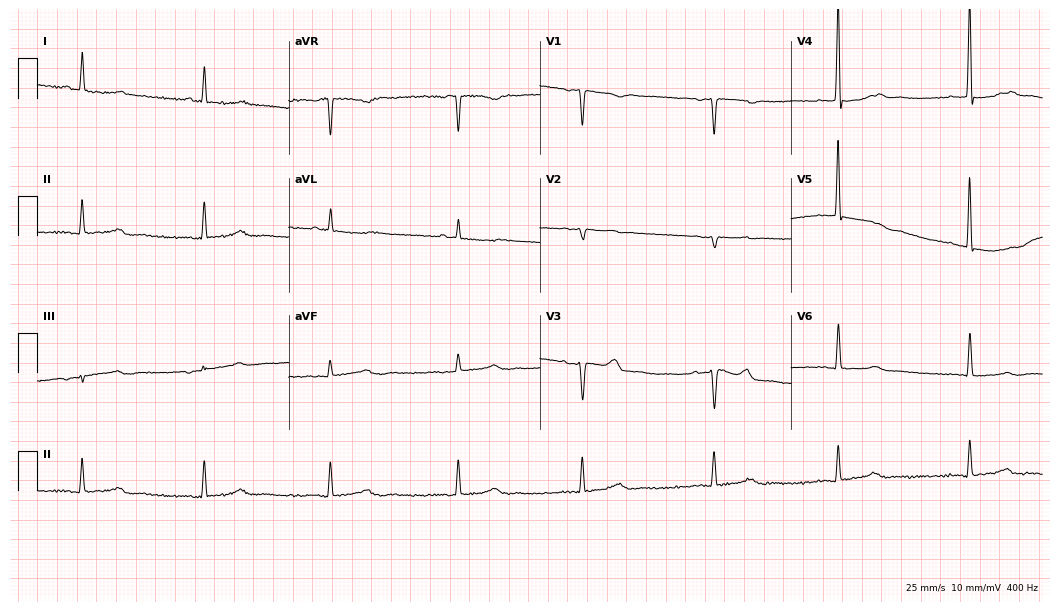
Electrocardiogram (10.2-second recording at 400 Hz), a female, 54 years old. Overall reading on record: normal ECG.